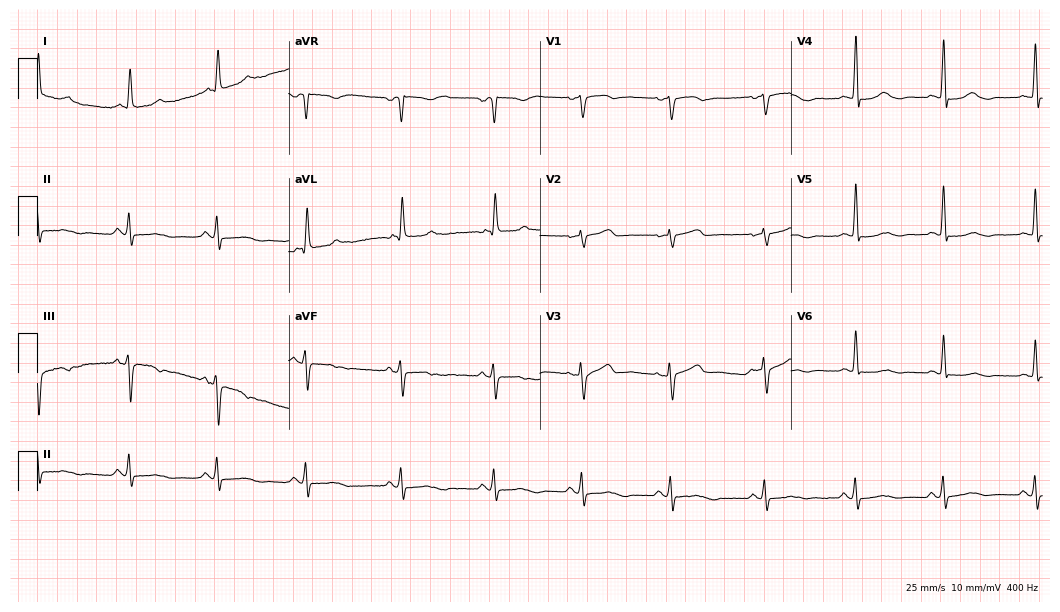
Electrocardiogram (10.2-second recording at 400 Hz), a 79-year-old female patient. Of the six screened findings (first-degree AV block, right bundle branch block, left bundle branch block, sinus bradycardia, atrial fibrillation, sinus tachycardia), none is recorded.